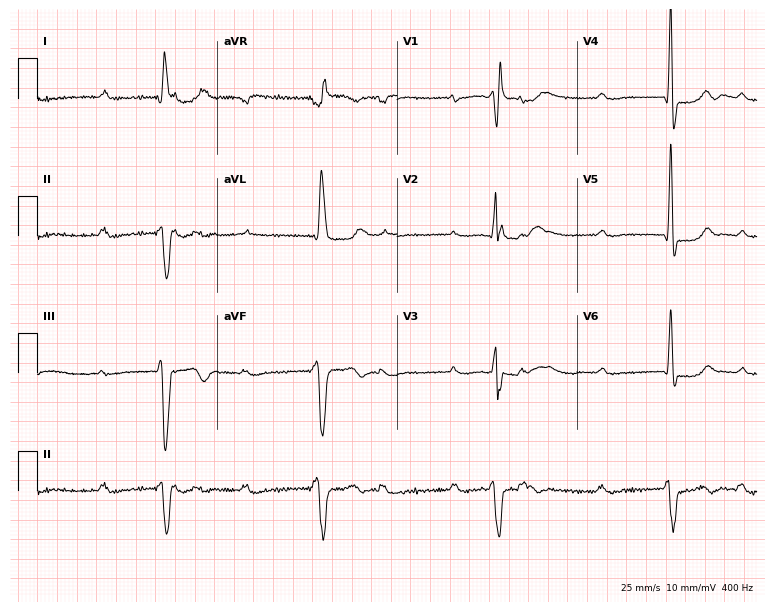
ECG — a female patient, 69 years old. Screened for six findings — first-degree AV block, right bundle branch block, left bundle branch block, sinus bradycardia, atrial fibrillation, sinus tachycardia — none is recorded.